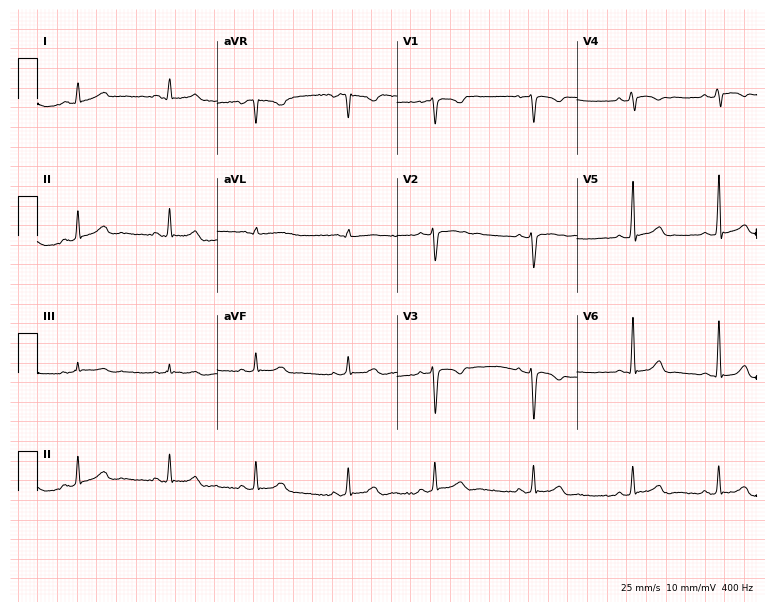
ECG (7.3-second recording at 400 Hz) — a 21-year-old woman. Screened for six findings — first-degree AV block, right bundle branch block, left bundle branch block, sinus bradycardia, atrial fibrillation, sinus tachycardia — none is recorded. Findings outside these six are not listed.